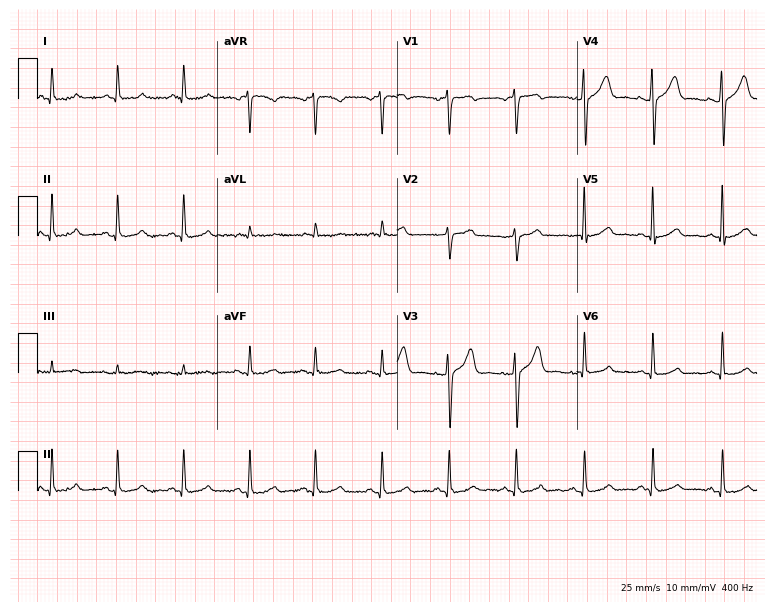
ECG — a woman, 59 years old. Labelled as a normal ECG.